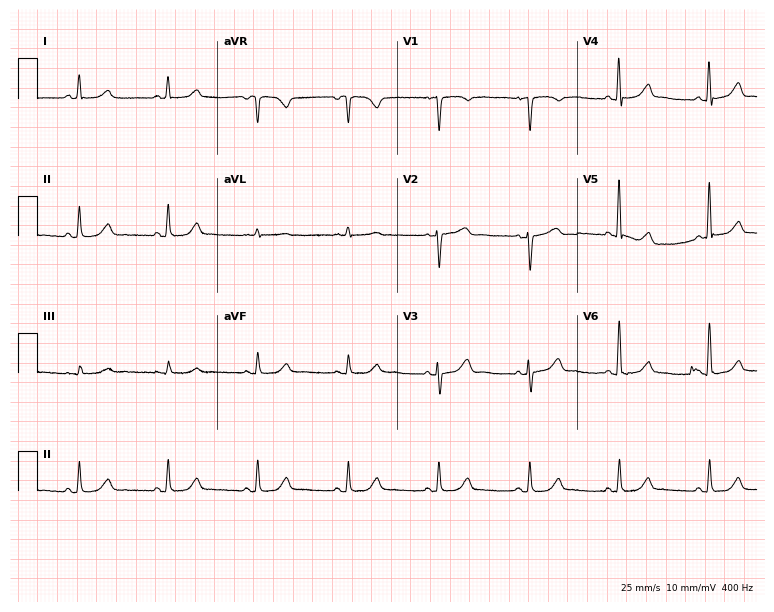
12-lead ECG (7.3-second recording at 400 Hz) from a female patient, 61 years old. Screened for six findings — first-degree AV block, right bundle branch block, left bundle branch block, sinus bradycardia, atrial fibrillation, sinus tachycardia — none is recorded.